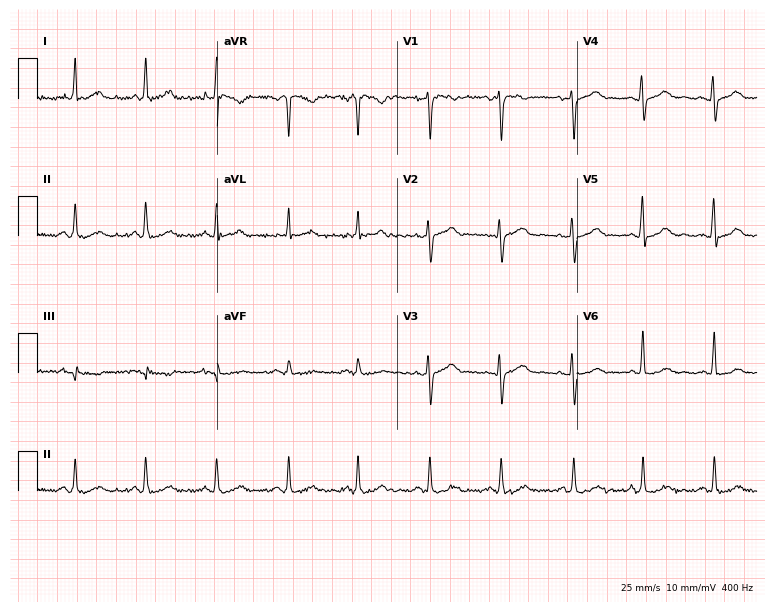
Electrocardiogram, a female patient, 44 years old. Overall reading on record: normal ECG.